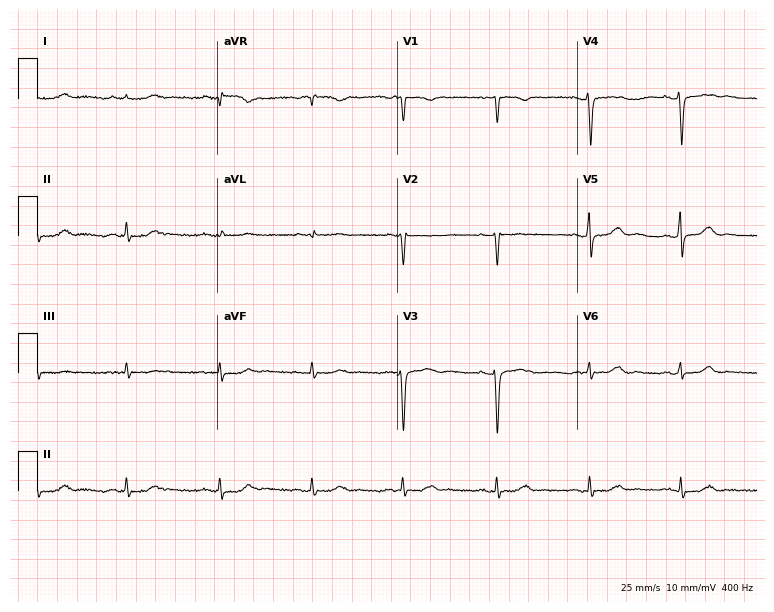
12-lead ECG from a 49-year-old female. Screened for six findings — first-degree AV block, right bundle branch block, left bundle branch block, sinus bradycardia, atrial fibrillation, sinus tachycardia — none is recorded. Only these six findings were labelled.